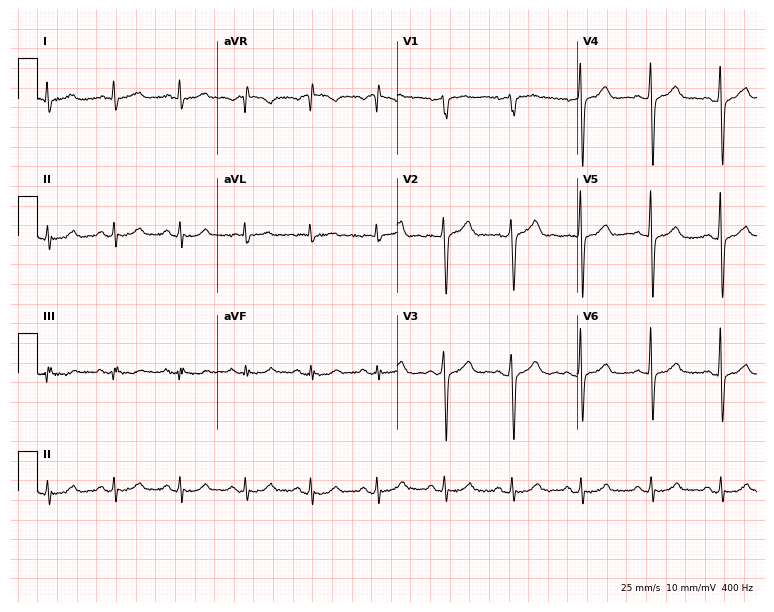
Standard 12-lead ECG recorded from a 64-year-old male patient (7.3-second recording at 400 Hz). None of these six findings is recorded: first-degree AV block, right bundle branch block, left bundle branch block, sinus bradycardia, atrial fibrillation, sinus tachycardia. Only these six findings were labelled.